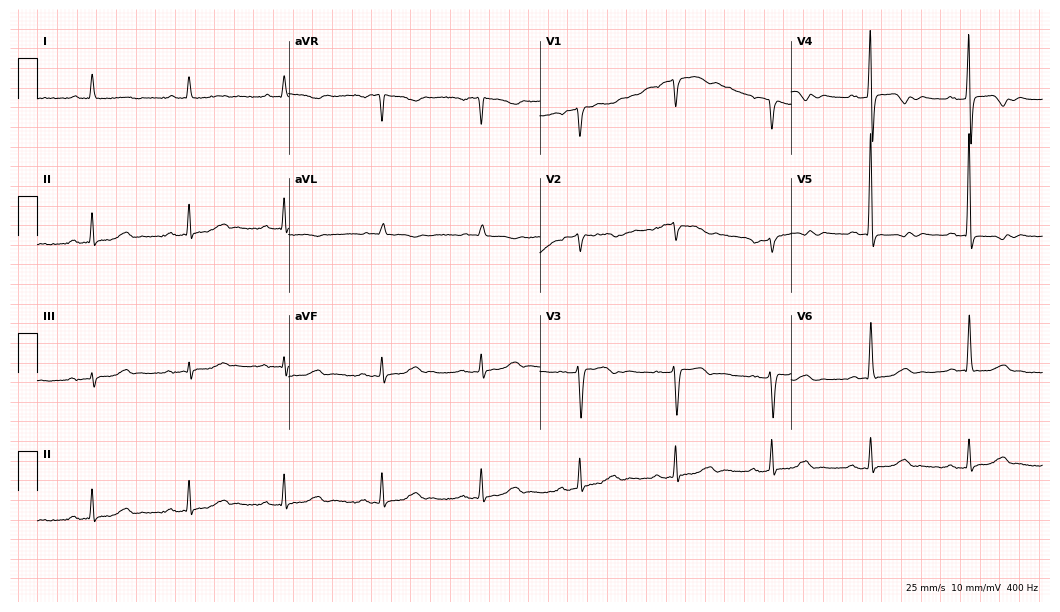
Resting 12-lead electrocardiogram (10.2-second recording at 400 Hz). Patient: a female, 62 years old. The tracing shows first-degree AV block.